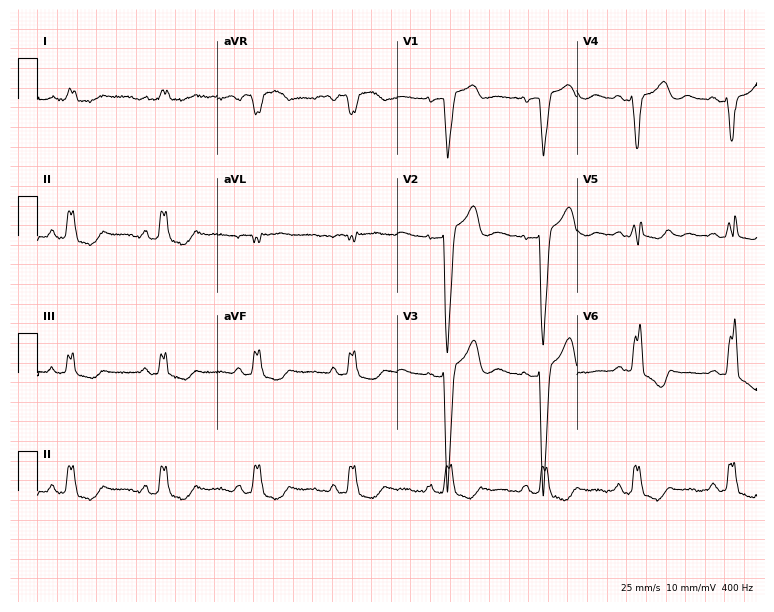
12-lead ECG from a female patient, 72 years old. Findings include left bundle branch block.